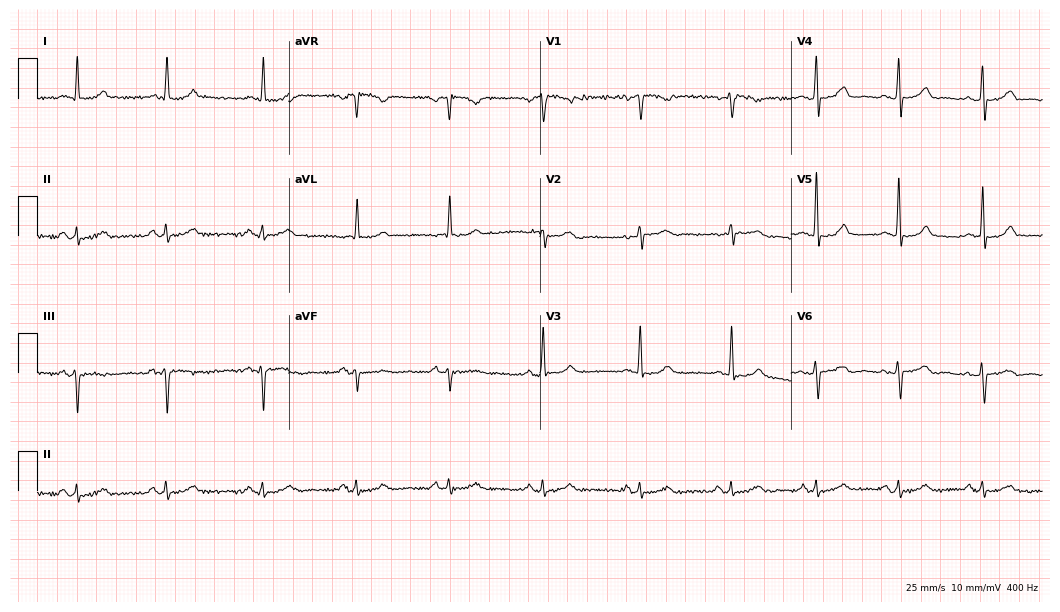
Resting 12-lead electrocardiogram. Patient: a 56-year-old female. Read as a normal ECG.